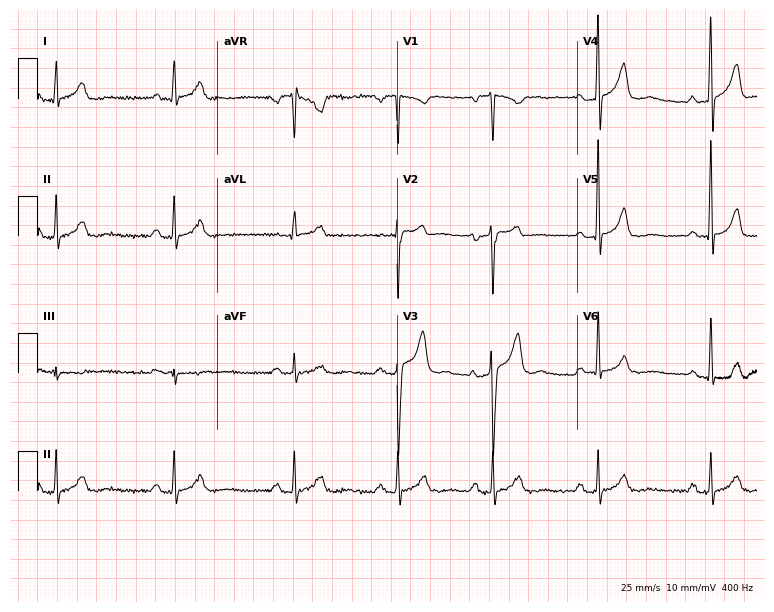
Electrocardiogram, a male patient, 48 years old. Overall reading on record: normal ECG.